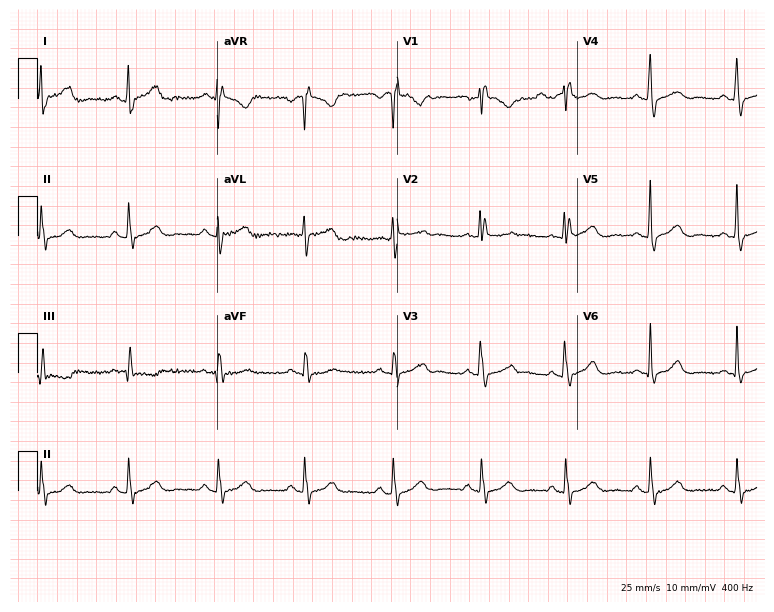
12-lead ECG from a female, 40 years old. No first-degree AV block, right bundle branch block, left bundle branch block, sinus bradycardia, atrial fibrillation or sinus tachycardia recorded for this tracing.